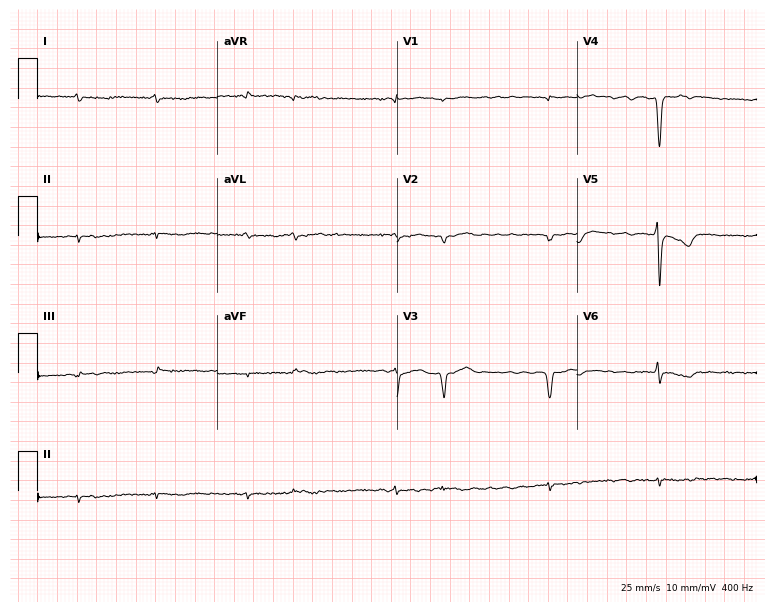
Standard 12-lead ECG recorded from a 68-year-old male patient (7.3-second recording at 400 Hz). The tracing shows atrial fibrillation (AF).